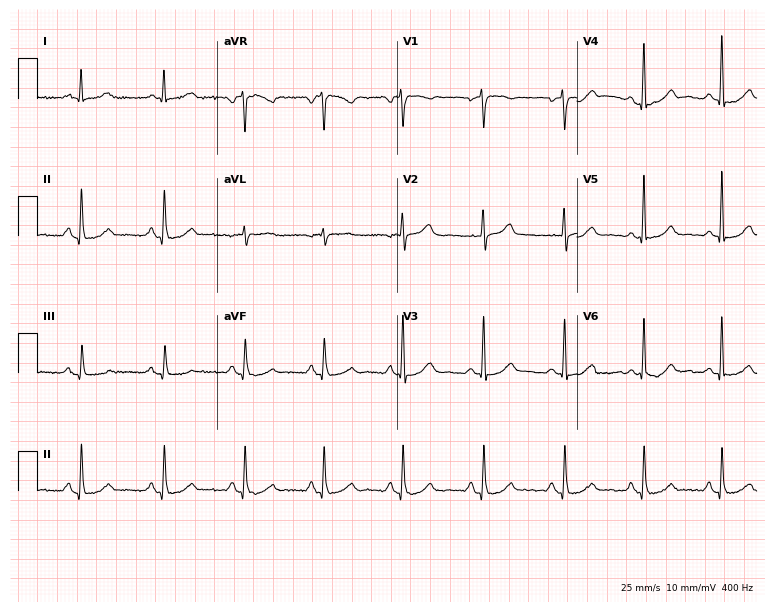
ECG — a female, 59 years old. Labelled as a normal ECG.